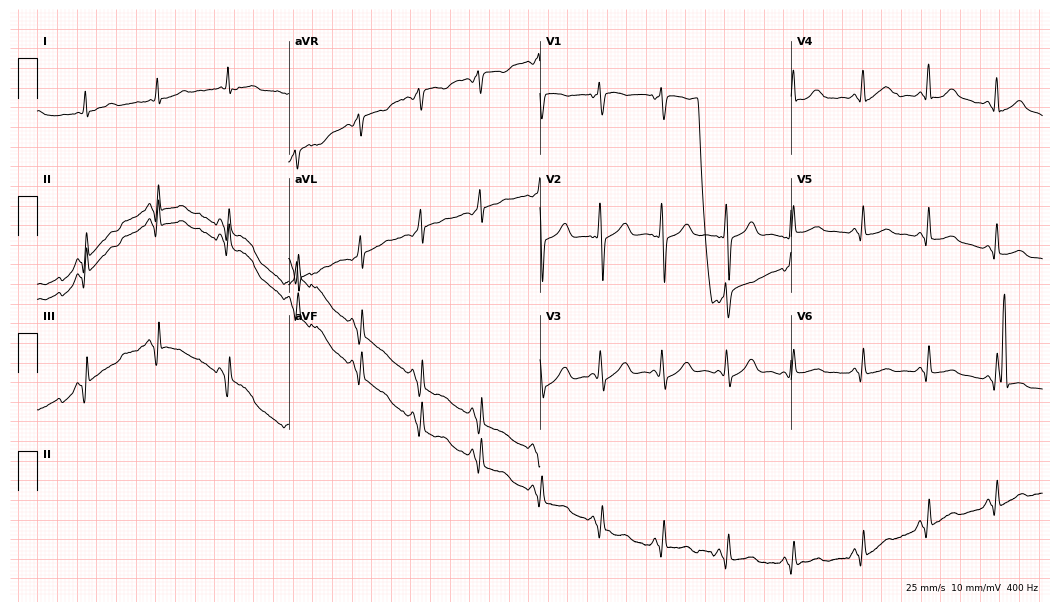
12-lead ECG (10.2-second recording at 400 Hz) from a female, 48 years old. Screened for six findings — first-degree AV block, right bundle branch block, left bundle branch block, sinus bradycardia, atrial fibrillation, sinus tachycardia — none is recorded.